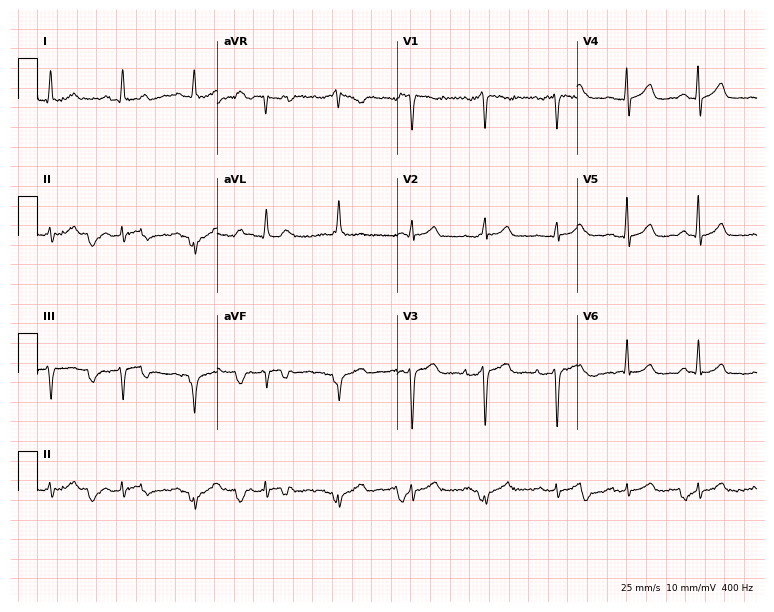
Standard 12-lead ECG recorded from a male patient, 70 years old. None of these six findings is recorded: first-degree AV block, right bundle branch block (RBBB), left bundle branch block (LBBB), sinus bradycardia, atrial fibrillation (AF), sinus tachycardia. Other findings, if any, are not listed.